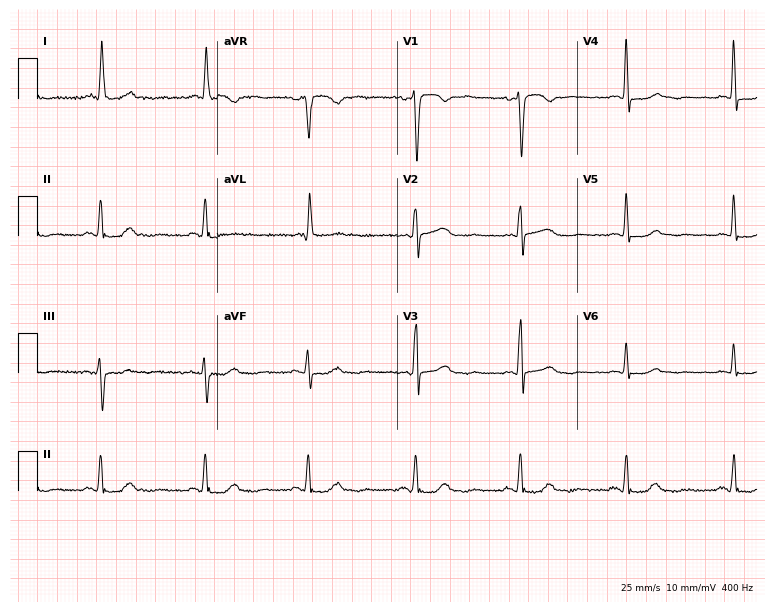
12-lead ECG from a female, 66 years old. Labelled as a normal ECG.